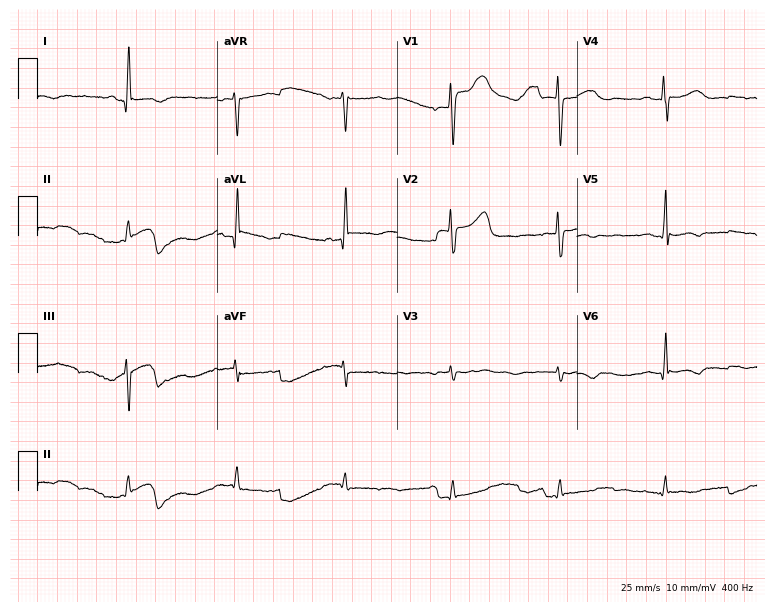
12-lead ECG (7.3-second recording at 400 Hz) from a 53-year-old woman. Screened for six findings — first-degree AV block, right bundle branch block, left bundle branch block, sinus bradycardia, atrial fibrillation, sinus tachycardia — none is recorded.